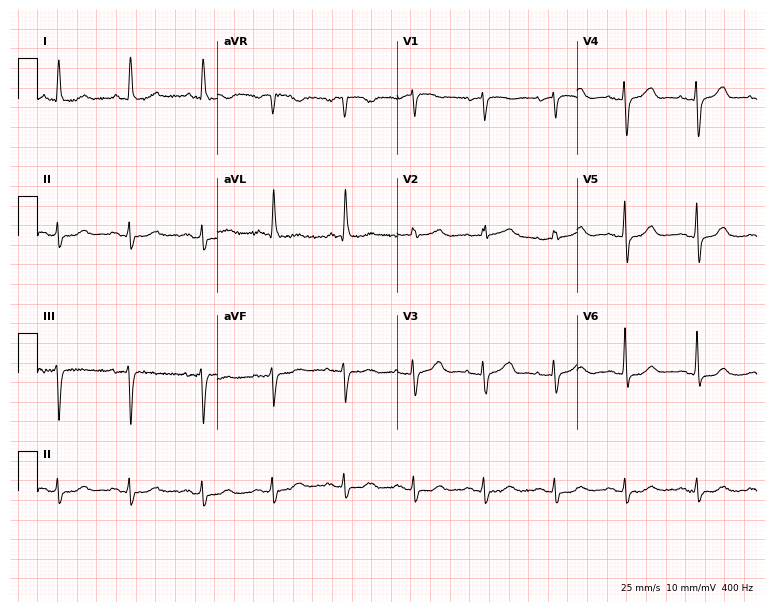
Electrocardiogram, an 83-year-old female. Of the six screened findings (first-degree AV block, right bundle branch block (RBBB), left bundle branch block (LBBB), sinus bradycardia, atrial fibrillation (AF), sinus tachycardia), none is recorded. Only these six findings were labelled.